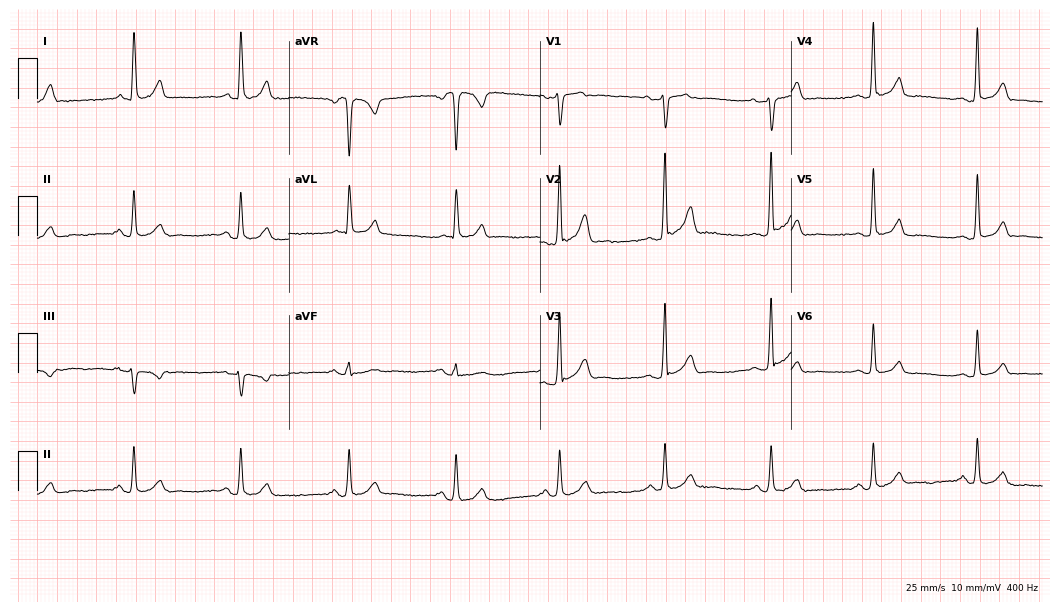
ECG — a male patient, 50 years old. Screened for six findings — first-degree AV block, right bundle branch block, left bundle branch block, sinus bradycardia, atrial fibrillation, sinus tachycardia — none is recorded. Only these six findings were labelled.